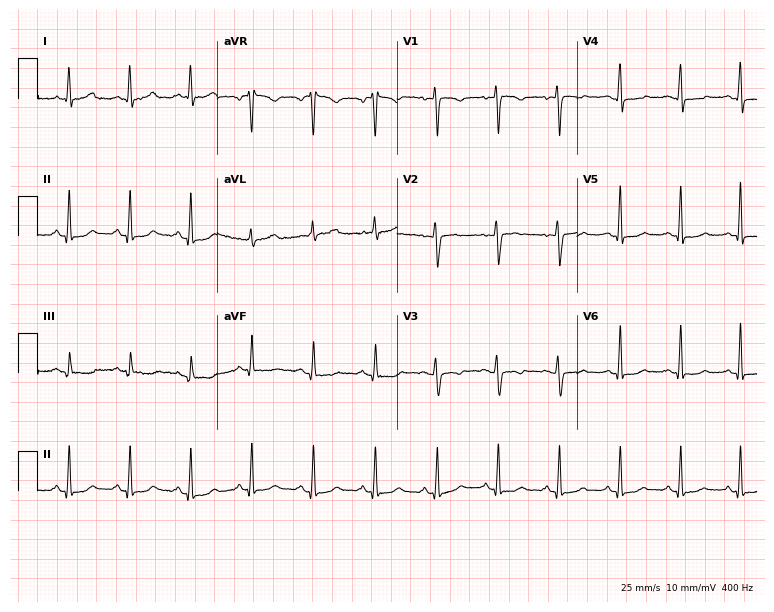
12-lead ECG (7.3-second recording at 400 Hz) from a 39-year-old female patient. Labelled as a normal ECG.